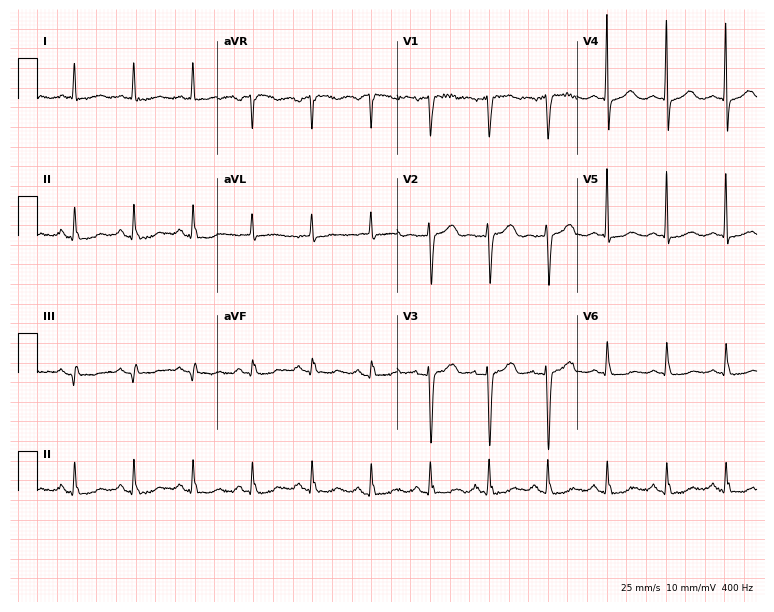
Electrocardiogram (7.3-second recording at 400 Hz), a female patient, 65 years old. Overall reading on record: normal ECG.